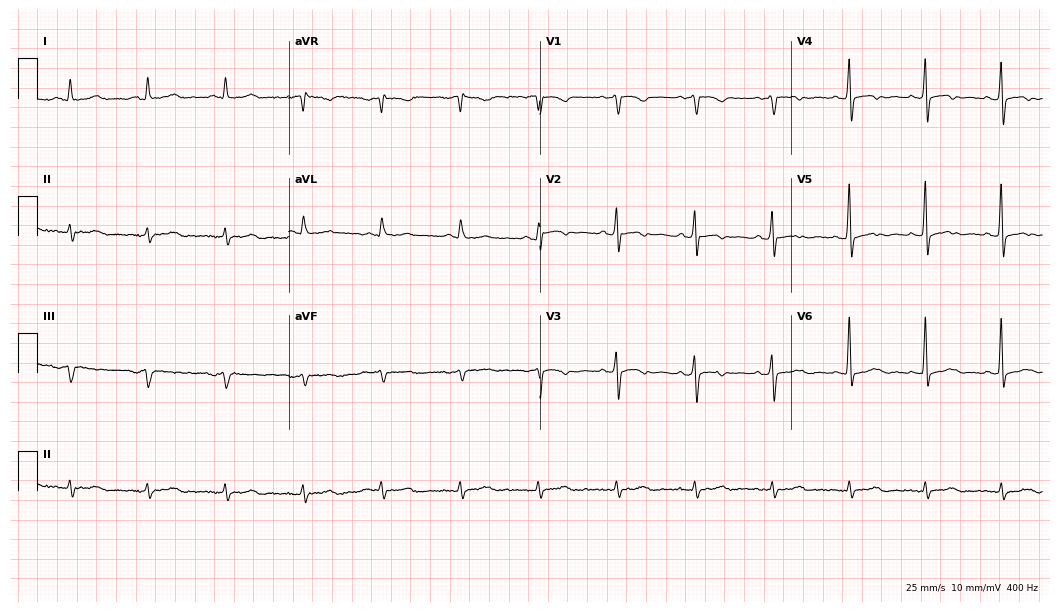
Standard 12-lead ECG recorded from a 79-year-old male (10.2-second recording at 400 Hz). None of these six findings is recorded: first-degree AV block, right bundle branch block, left bundle branch block, sinus bradycardia, atrial fibrillation, sinus tachycardia. Other findings, if any, are not listed.